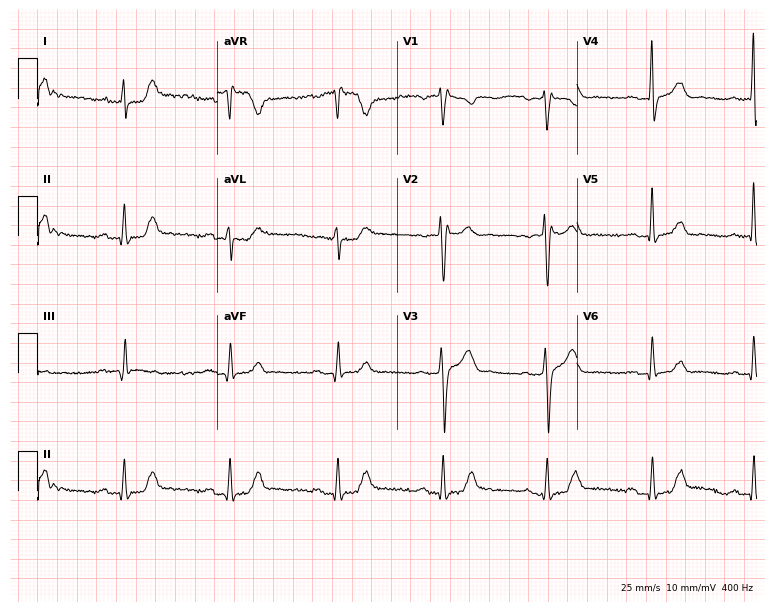
ECG — a male, 32 years old. Screened for six findings — first-degree AV block, right bundle branch block (RBBB), left bundle branch block (LBBB), sinus bradycardia, atrial fibrillation (AF), sinus tachycardia — none is recorded.